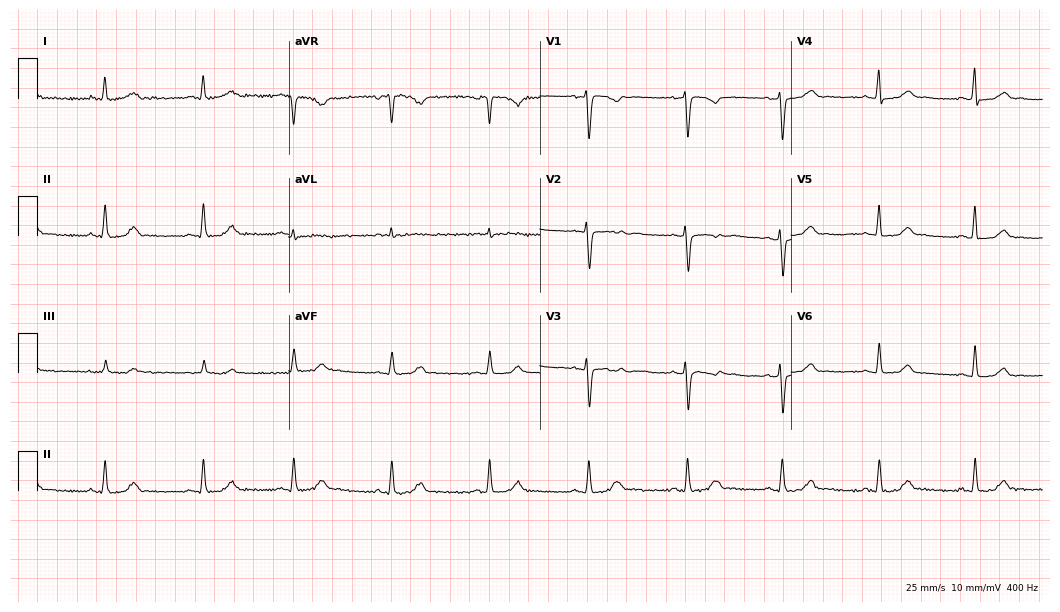
12-lead ECG from a female patient, 44 years old. Recorded interpretation: within normal limits.